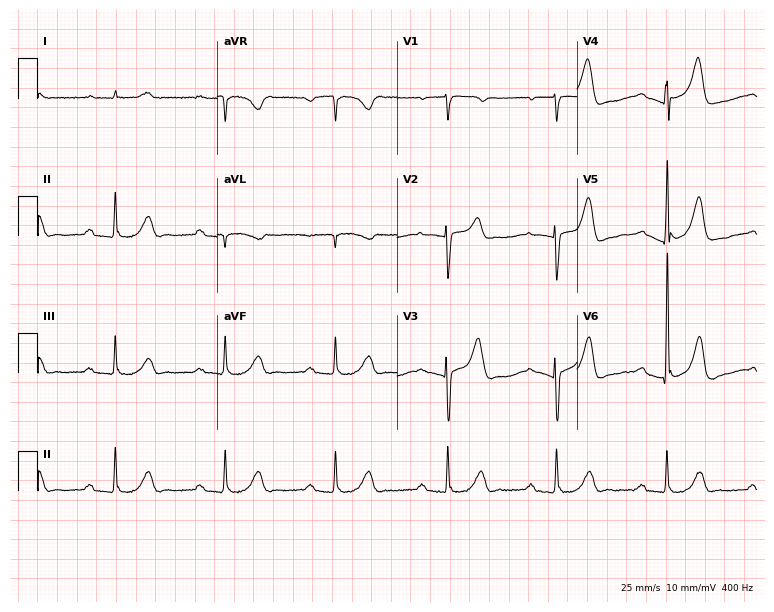
12-lead ECG from an 84-year-old man. Findings include first-degree AV block.